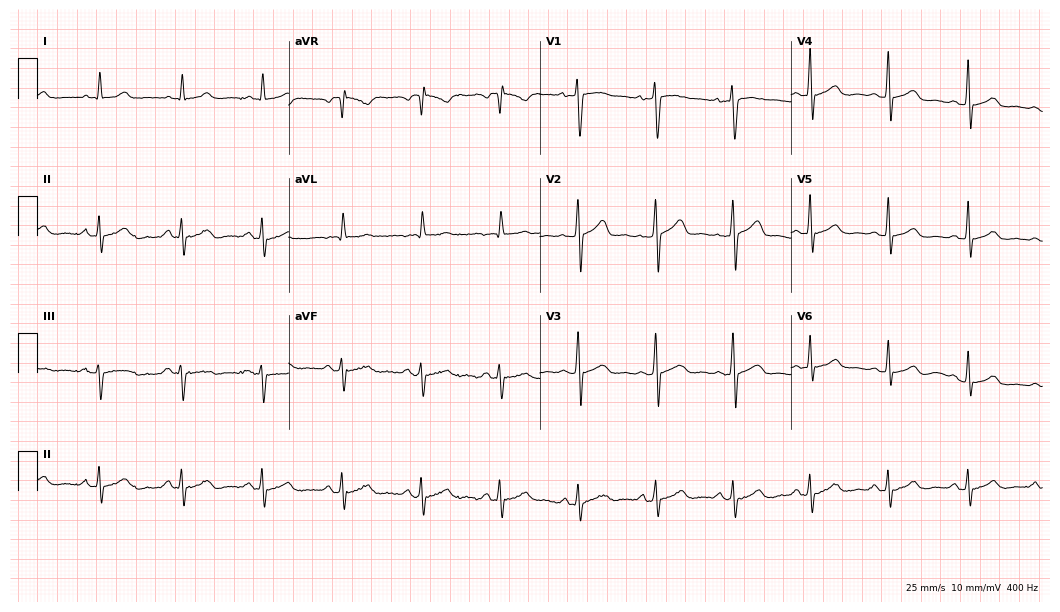
Electrocardiogram, a 45-year-old female patient. Overall reading on record: normal ECG.